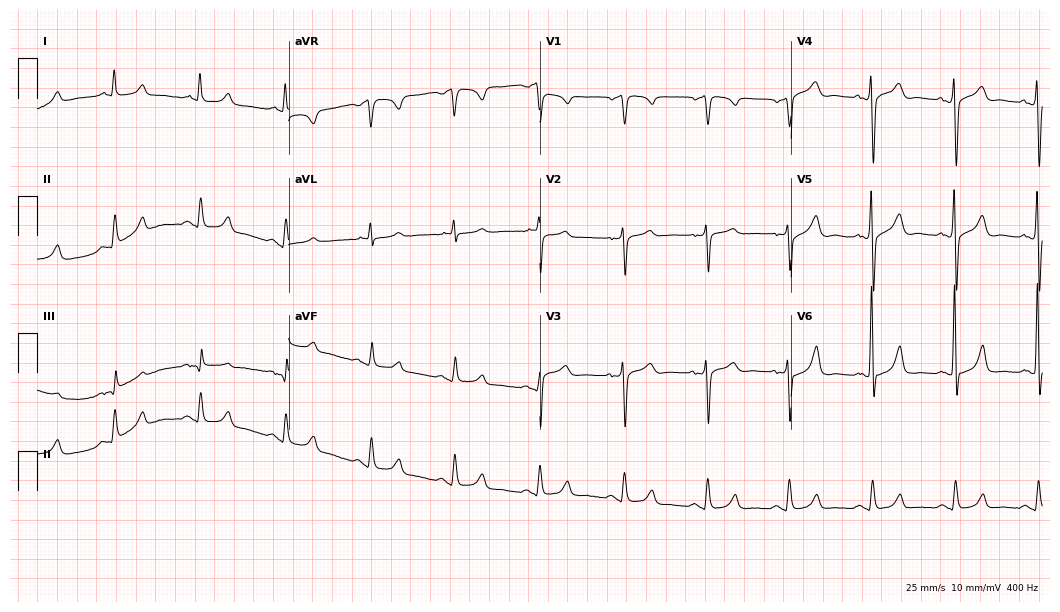
ECG — a 58-year-old man. Labelled as a normal ECG.